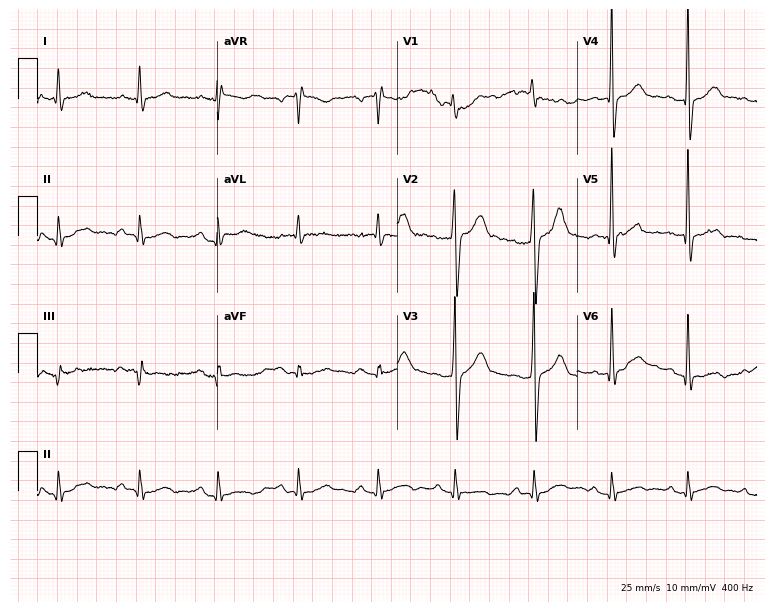
ECG — a male patient, 41 years old. Labelled as a normal ECG.